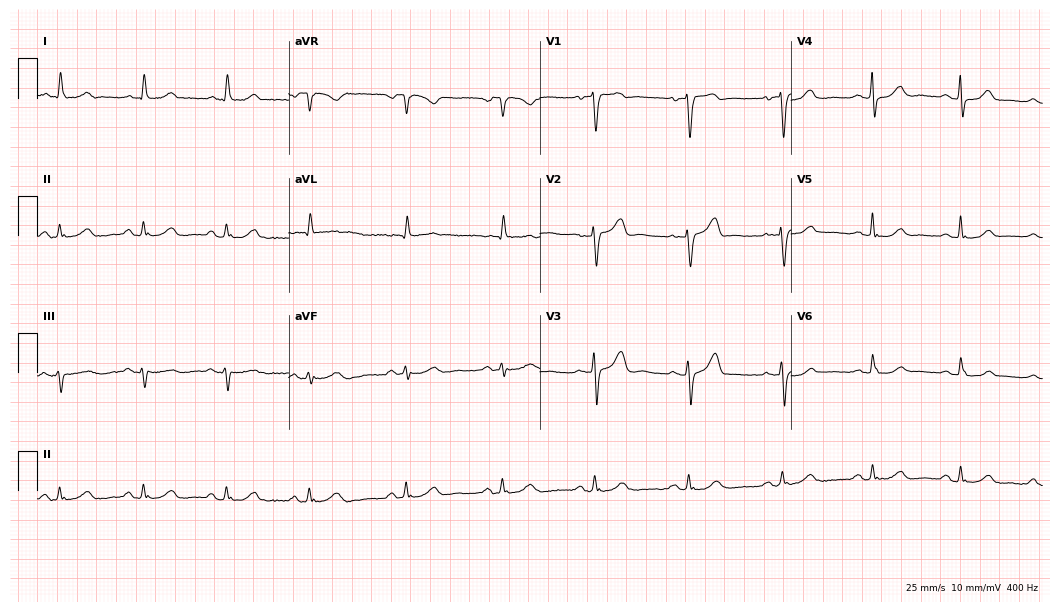
12-lead ECG from a woman, 62 years old (10.2-second recording at 400 Hz). Recorded interpretation: within normal limits.